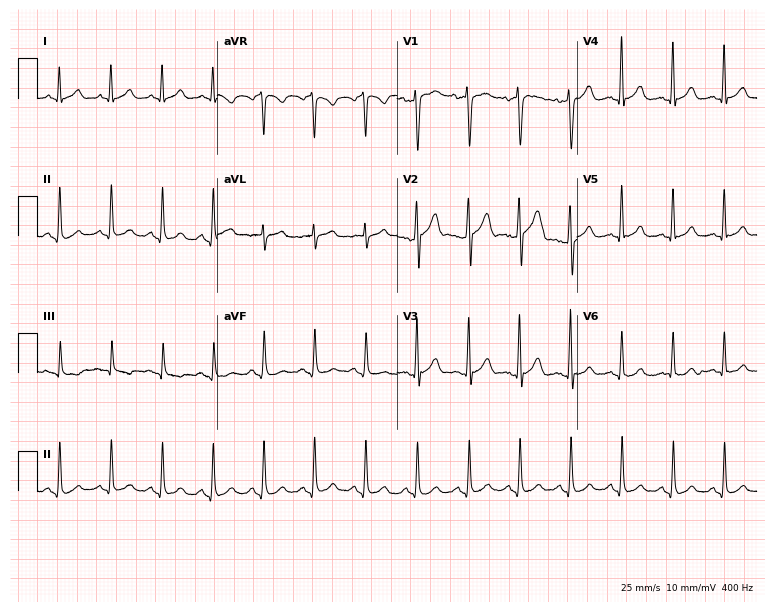
12-lead ECG from a man, 37 years old (7.3-second recording at 400 Hz). Shows sinus tachycardia (a sinus rate of 100 beats per minute or more).